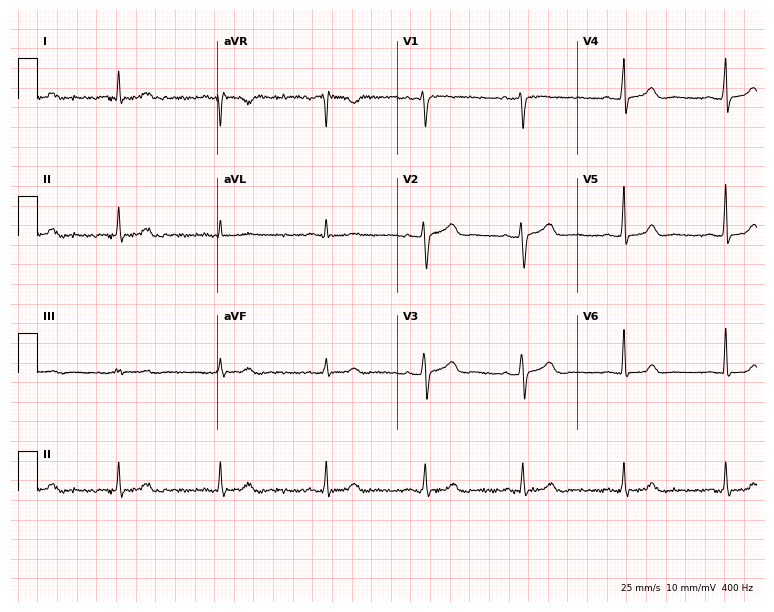
ECG — a female, 36 years old. Screened for six findings — first-degree AV block, right bundle branch block, left bundle branch block, sinus bradycardia, atrial fibrillation, sinus tachycardia — none is recorded.